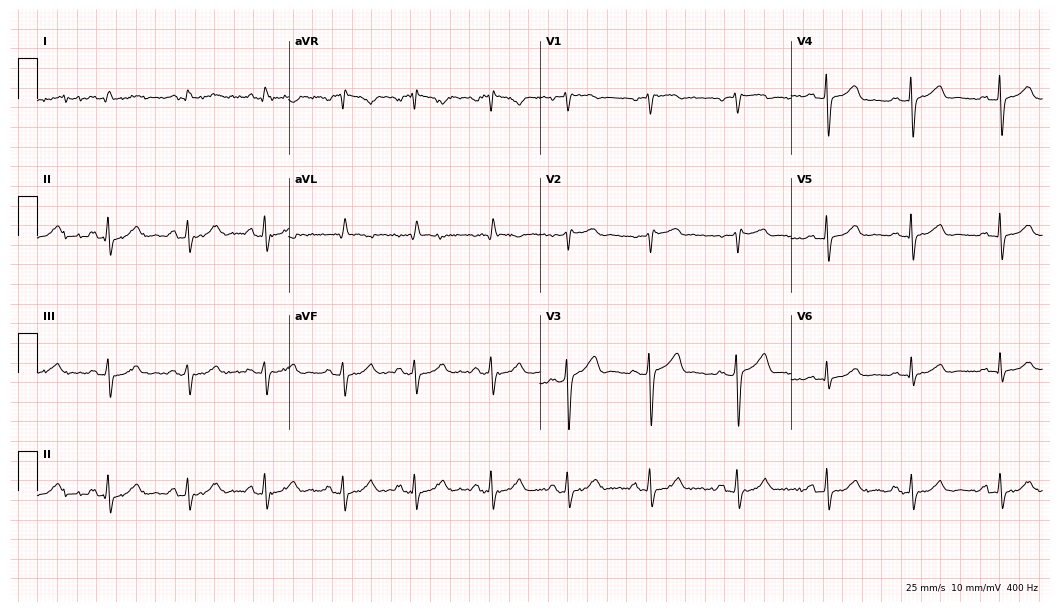
ECG — a female, 44 years old. Labelled as a normal ECG.